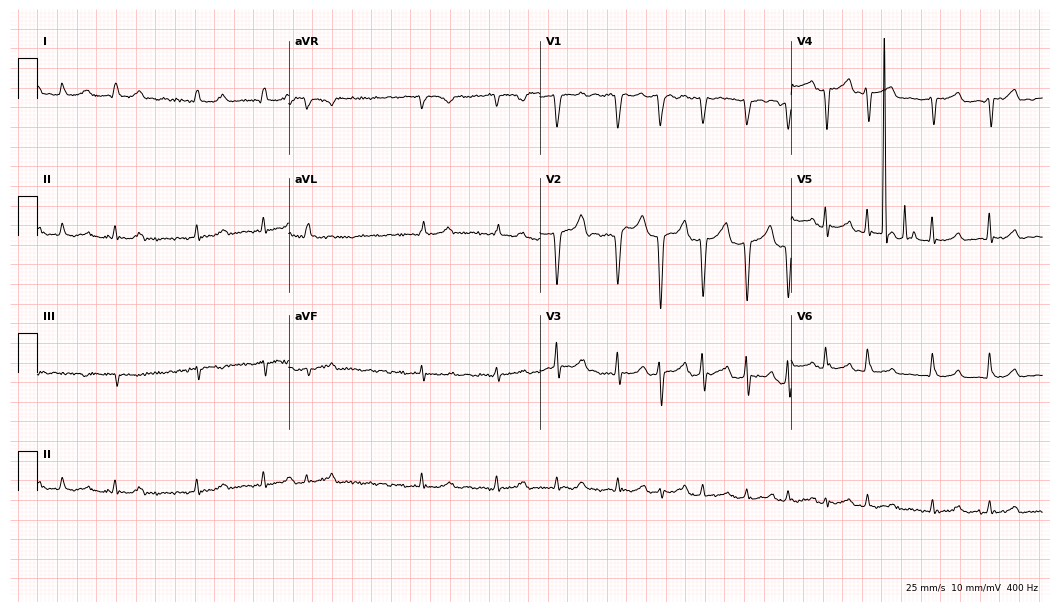
Resting 12-lead electrocardiogram (10.2-second recording at 400 Hz). Patient: a man, 67 years old. The tracing shows atrial fibrillation.